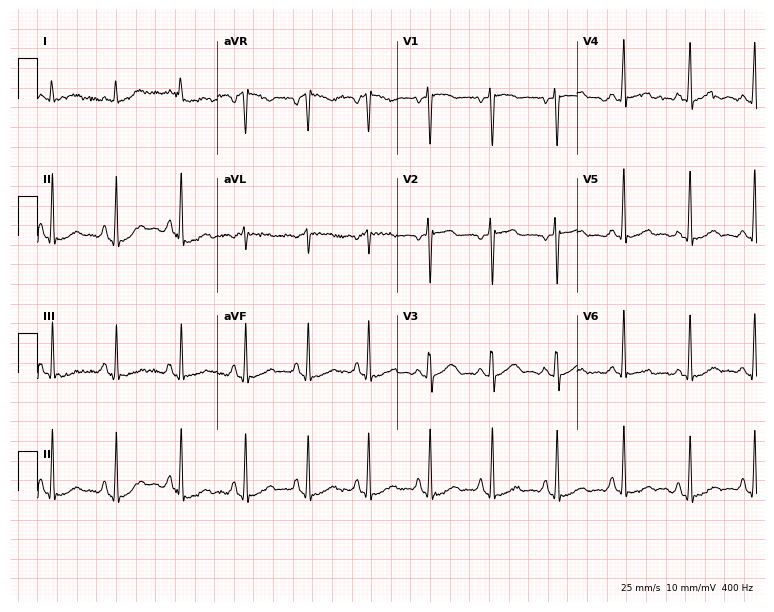
ECG — a female patient, 20 years old. Screened for six findings — first-degree AV block, right bundle branch block (RBBB), left bundle branch block (LBBB), sinus bradycardia, atrial fibrillation (AF), sinus tachycardia — none is recorded.